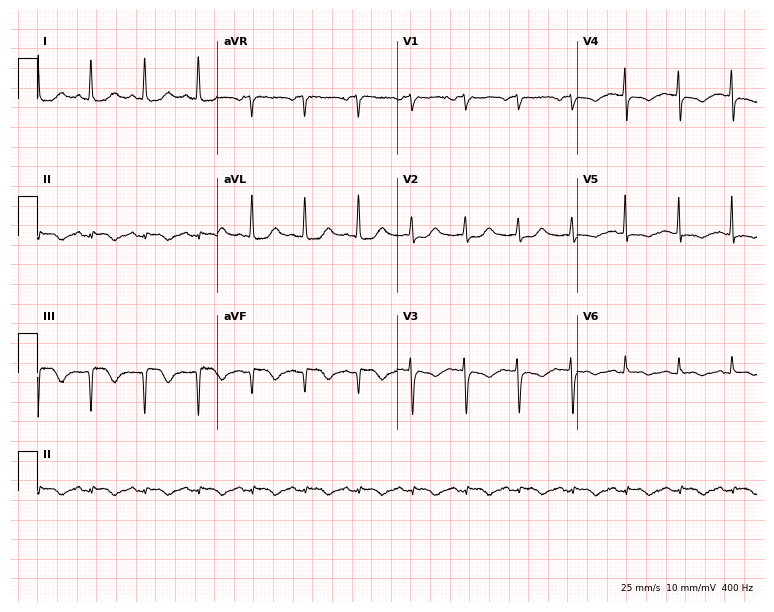
Standard 12-lead ECG recorded from a female, 77 years old. None of these six findings is recorded: first-degree AV block, right bundle branch block, left bundle branch block, sinus bradycardia, atrial fibrillation, sinus tachycardia. Findings outside these six are not listed.